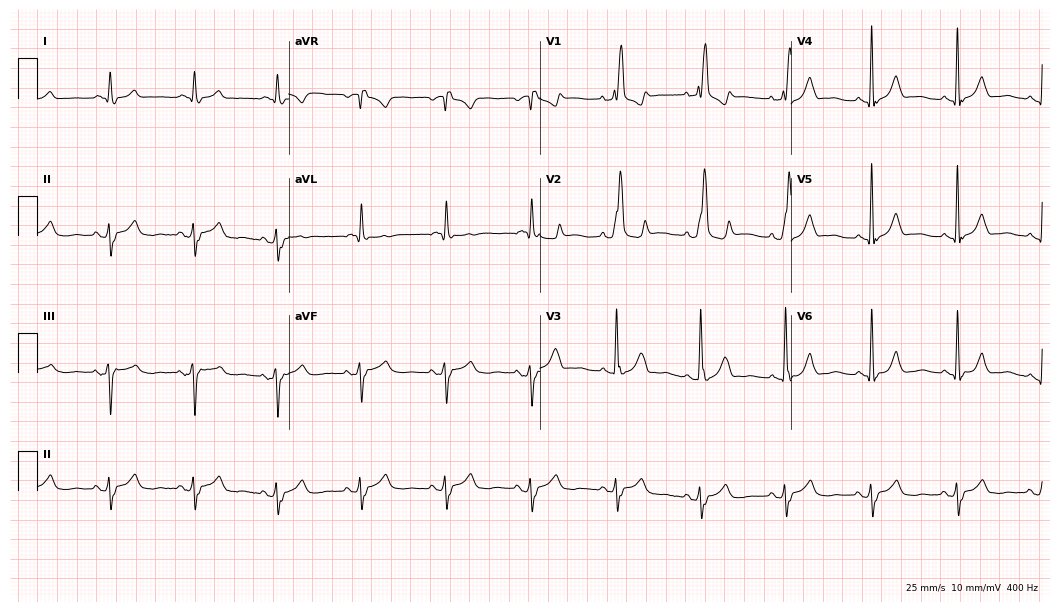
Standard 12-lead ECG recorded from an 85-year-old female. The tracing shows right bundle branch block.